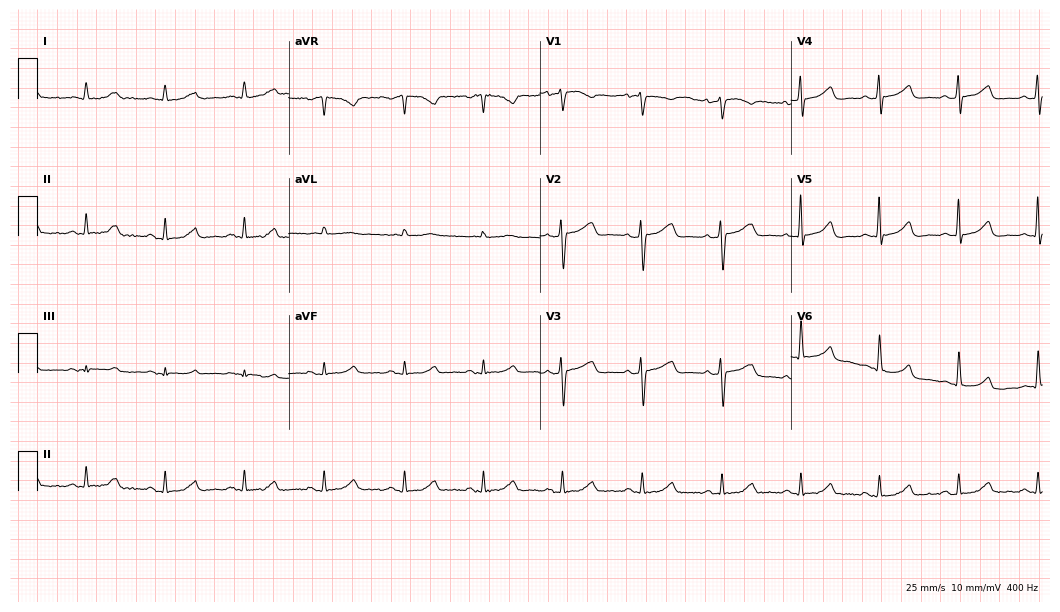
Resting 12-lead electrocardiogram. Patient: a female, 56 years old. Read as a normal ECG.